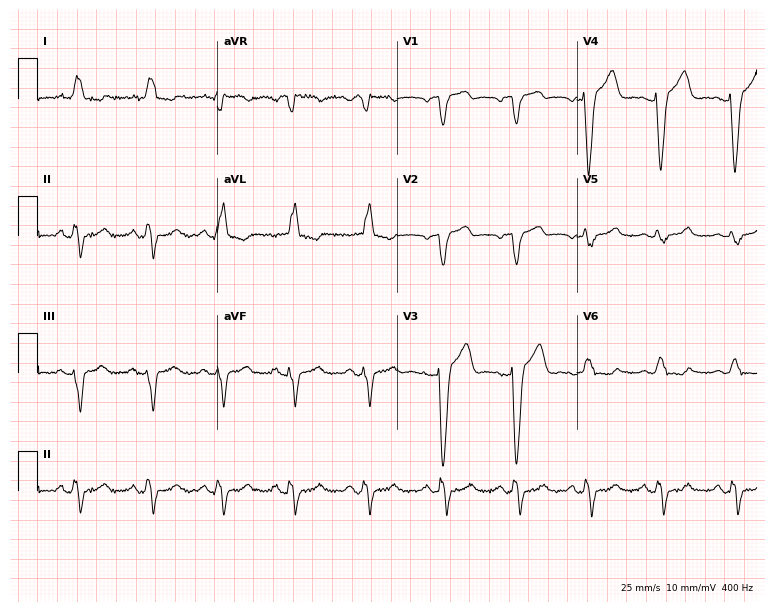
12-lead ECG from a 72-year-old female patient (7.3-second recording at 400 Hz). No first-degree AV block, right bundle branch block, left bundle branch block, sinus bradycardia, atrial fibrillation or sinus tachycardia recorded for this tracing.